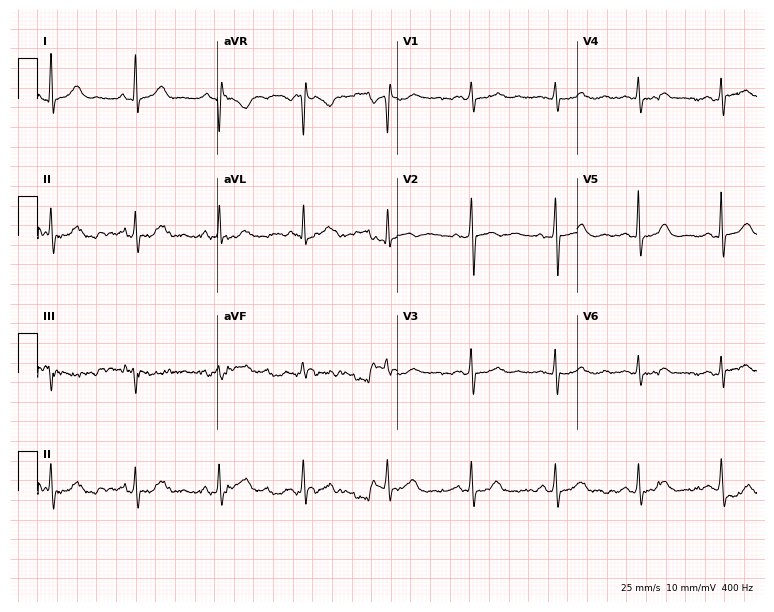
Standard 12-lead ECG recorded from a female, 63 years old (7.3-second recording at 400 Hz). None of these six findings is recorded: first-degree AV block, right bundle branch block, left bundle branch block, sinus bradycardia, atrial fibrillation, sinus tachycardia. Findings outside these six are not listed.